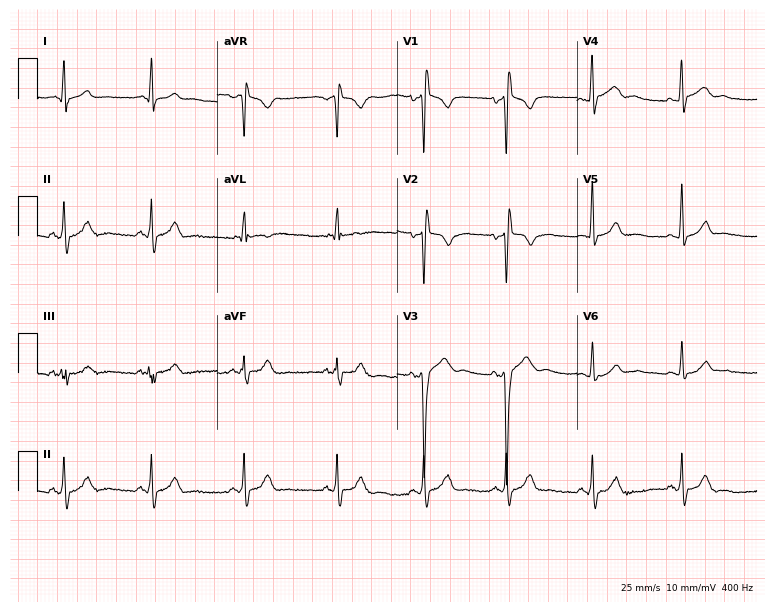
ECG (7.3-second recording at 400 Hz) — a man, 22 years old. Screened for six findings — first-degree AV block, right bundle branch block, left bundle branch block, sinus bradycardia, atrial fibrillation, sinus tachycardia — none is recorded. Findings outside these six are not listed.